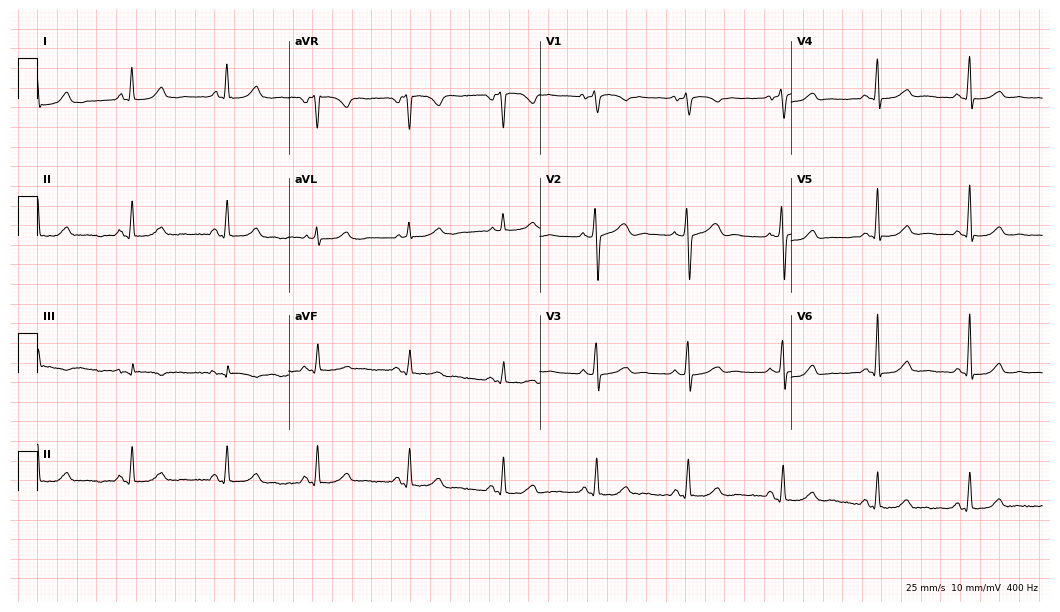
ECG — a female, 72 years old. Labelled as a normal ECG.